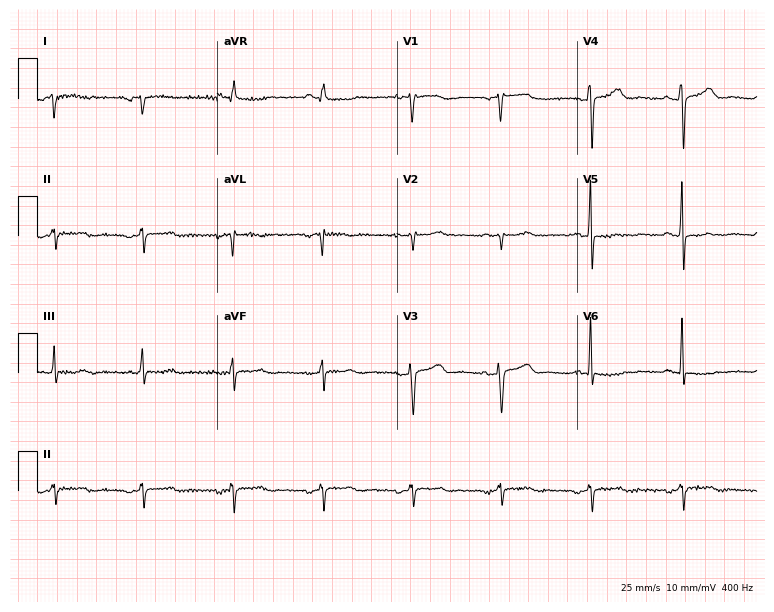
ECG (7.3-second recording at 400 Hz) — a woman, 68 years old. Screened for six findings — first-degree AV block, right bundle branch block (RBBB), left bundle branch block (LBBB), sinus bradycardia, atrial fibrillation (AF), sinus tachycardia — none is recorded. Only these six findings were labelled.